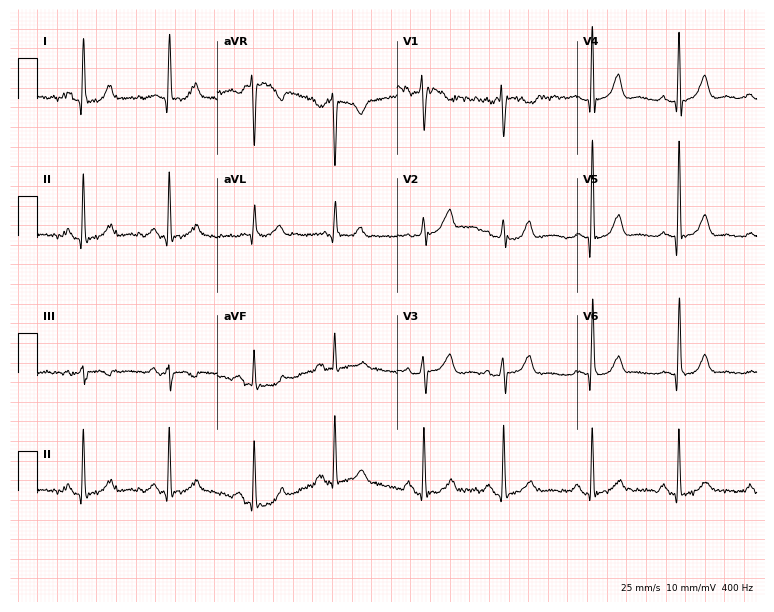
ECG (7.3-second recording at 400 Hz) — a 56-year-old female patient. Screened for six findings — first-degree AV block, right bundle branch block, left bundle branch block, sinus bradycardia, atrial fibrillation, sinus tachycardia — none is recorded. Other findings, if any, are not listed.